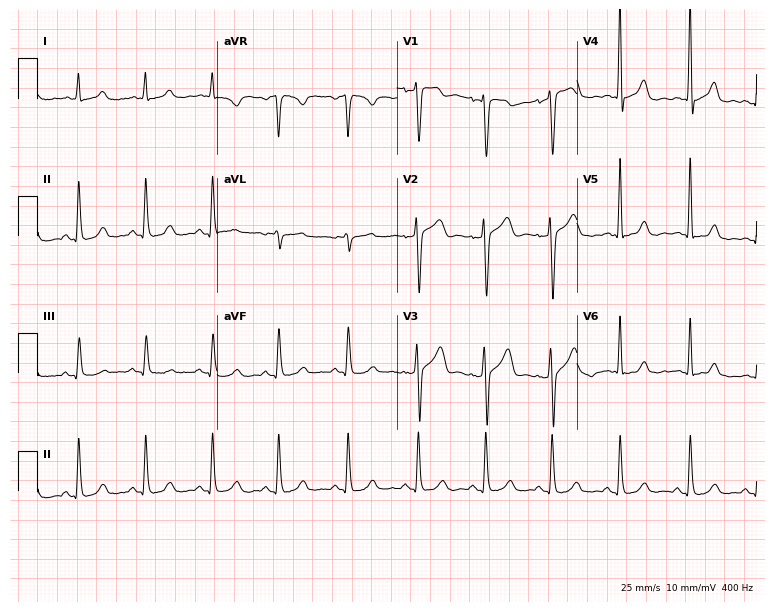
Resting 12-lead electrocardiogram (7.3-second recording at 400 Hz). Patient: a male, 51 years old. None of these six findings is recorded: first-degree AV block, right bundle branch block, left bundle branch block, sinus bradycardia, atrial fibrillation, sinus tachycardia. Other findings, if any, are not listed.